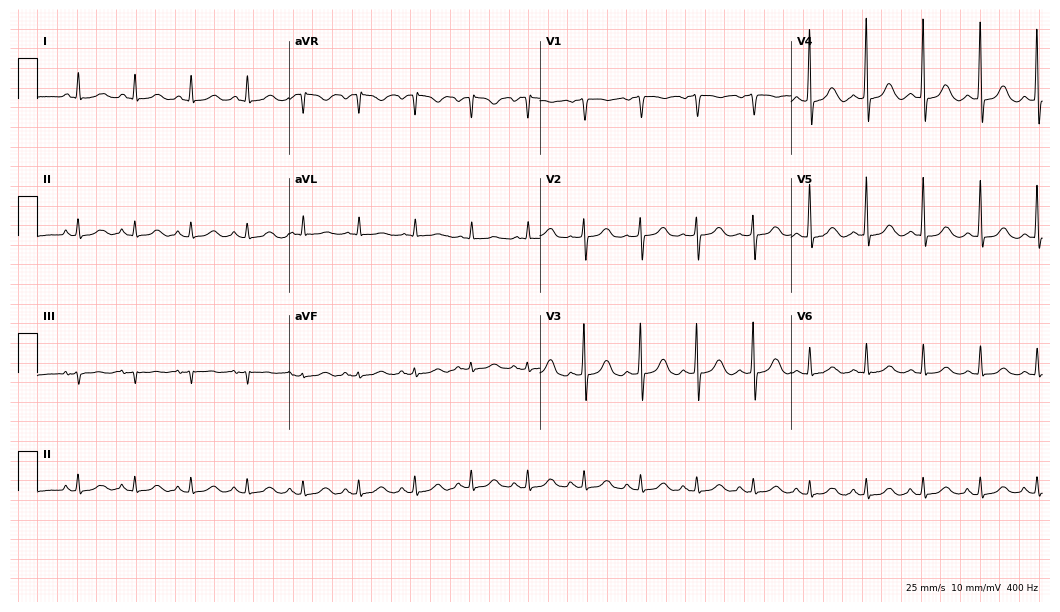
ECG (10.2-second recording at 400 Hz) — an 83-year-old female. Findings include sinus tachycardia (a sinus rate of 100 beats per minute or more).